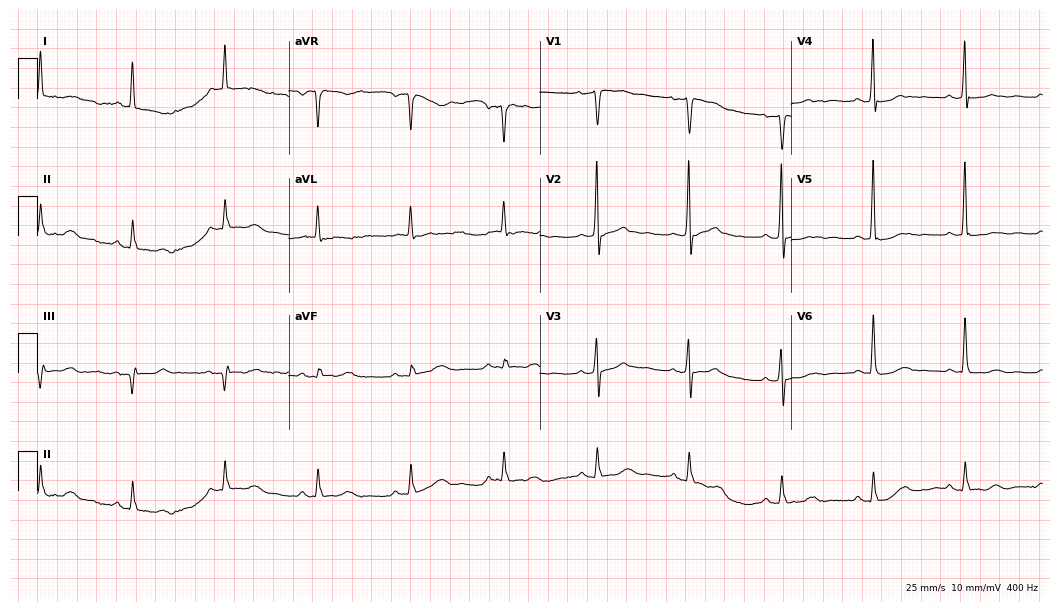
ECG — an 83-year-old female. Screened for six findings — first-degree AV block, right bundle branch block, left bundle branch block, sinus bradycardia, atrial fibrillation, sinus tachycardia — none is recorded.